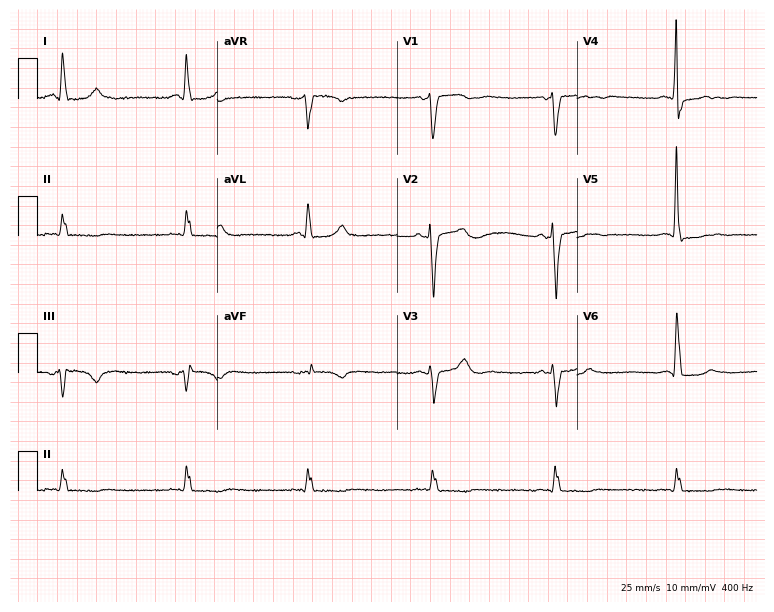
12-lead ECG from a 75-year-old male patient. Screened for six findings — first-degree AV block, right bundle branch block, left bundle branch block, sinus bradycardia, atrial fibrillation, sinus tachycardia — none is recorded. Only these six findings were labelled.